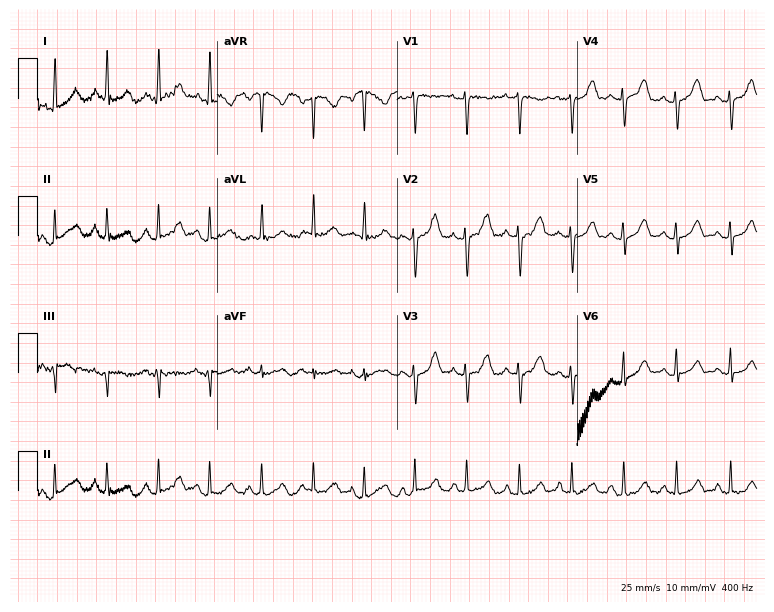
Resting 12-lead electrocardiogram (7.3-second recording at 400 Hz). Patient: a female, 28 years old. None of these six findings is recorded: first-degree AV block, right bundle branch block, left bundle branch block, sinus bradycardia, atrial fibrillation, sinus tachycardia. Only these six findings were labelled.